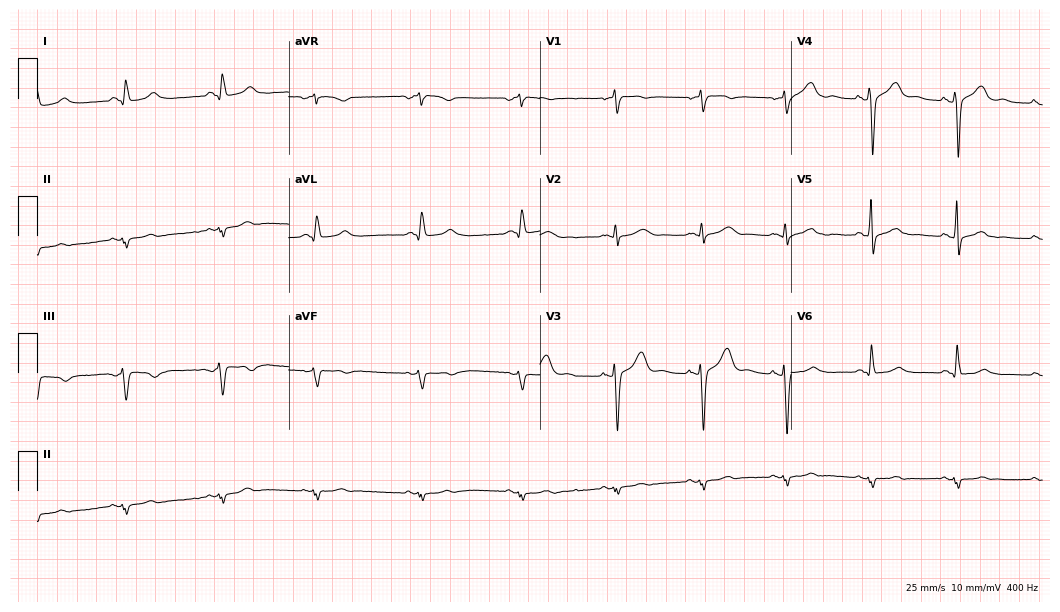
ECG — a 51-year-old male patient. Screened for six findings — first-degree AV block, right bundle branch block, left bundle branch block, sinus bradycardia, atrial fibrillation, sinus tachycardia — none is recorded.